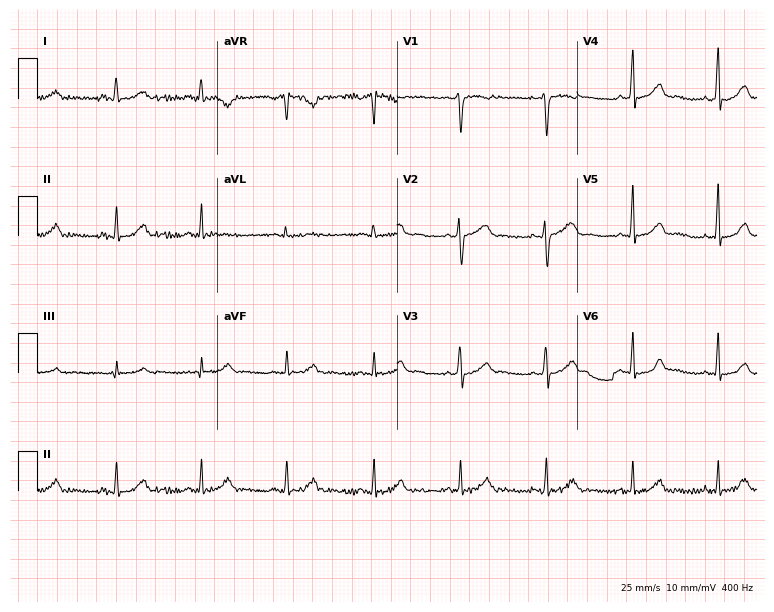
Electrocardiogram, a female, 28 years old. Of the six screened findings (first-degree AV block, right bundle branch block, left bundle branch block, sinus bradycardia, atrial fibrillation, sinus tachycardia), none is recorded. Only these six findings were labelled.